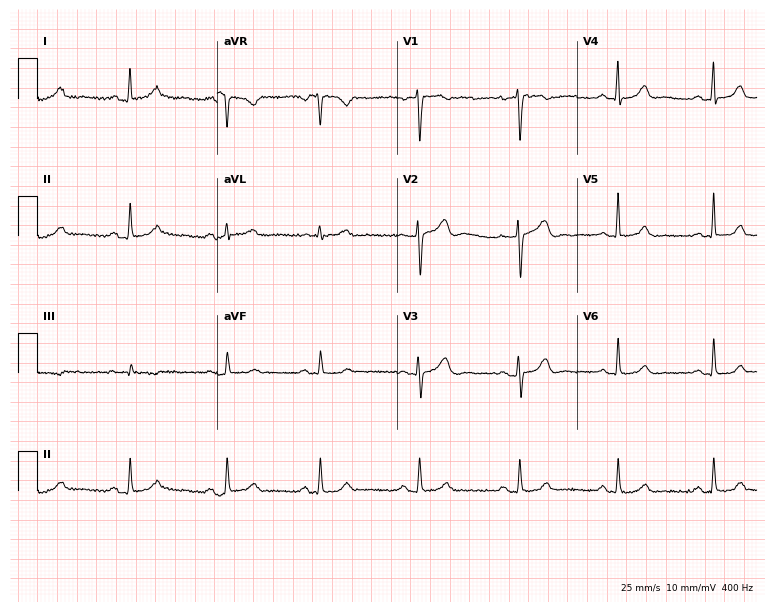
Resting 12-lead electrocardiogram. Patient: a 59-year-old female. None of these six findings is recorded: first-degree AV block, right bundle branch block, left bundle branch block, sinus bradycardia, atrial fibrillation, sinus tachycardia. Other findings, if any, are not listed.